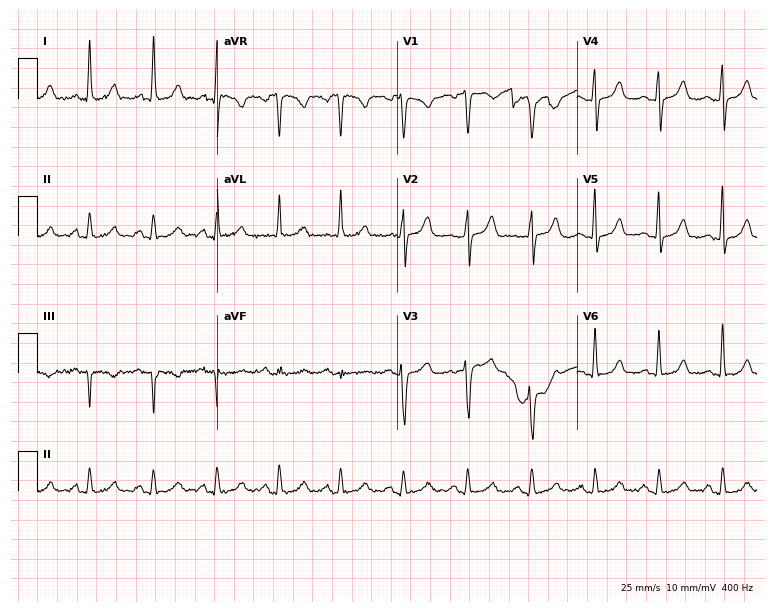
12-lead ECG from a woman, 45 years old. Labelled as a normal ECG.